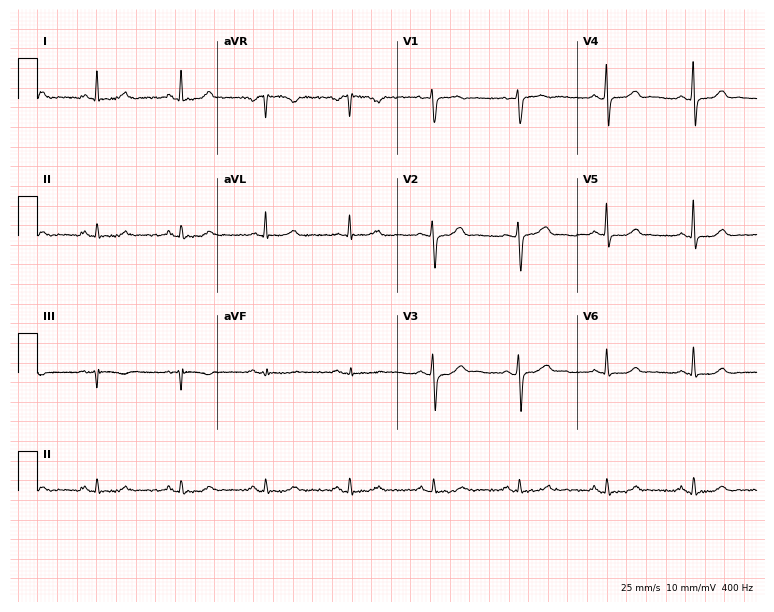
Standard 12-lead ECG recorded from a 54-year-old female patient (7.3-second recording at 400 Hz). None of these six findings is recorded: first-degree AV block, right bundle branch block, left bundle branch block, sinus bradycardia, atrial fibrillation, sinus tachycardia. Only these six findings were labelled.